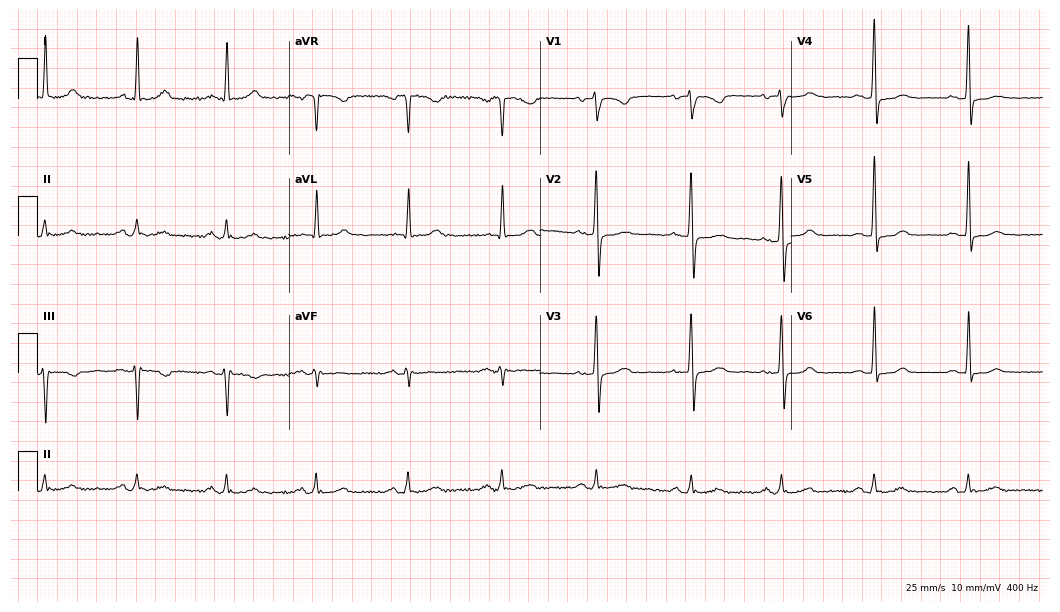
ECG (10.2-second recording at 400 Hz) — a female, 54 years old. Labelled as a normal ECG.